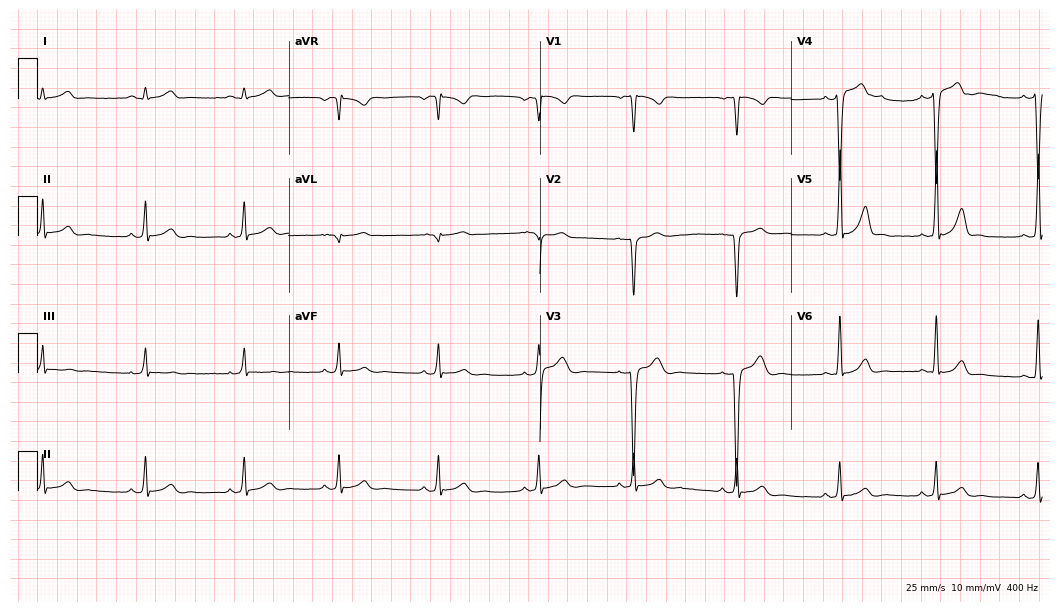
Standard 12-lead ECG recorded from a male patient, 17 years old (10.2-second recording at 400 Hz). None of these six findings is recorded: first-degree AV block, right bundle branch block (RBBB), left bundle branch block (LBBB), sinus bradycardia, atrial fibrillation (AF), sinus tachycardia. Findings outside these six are not listed.